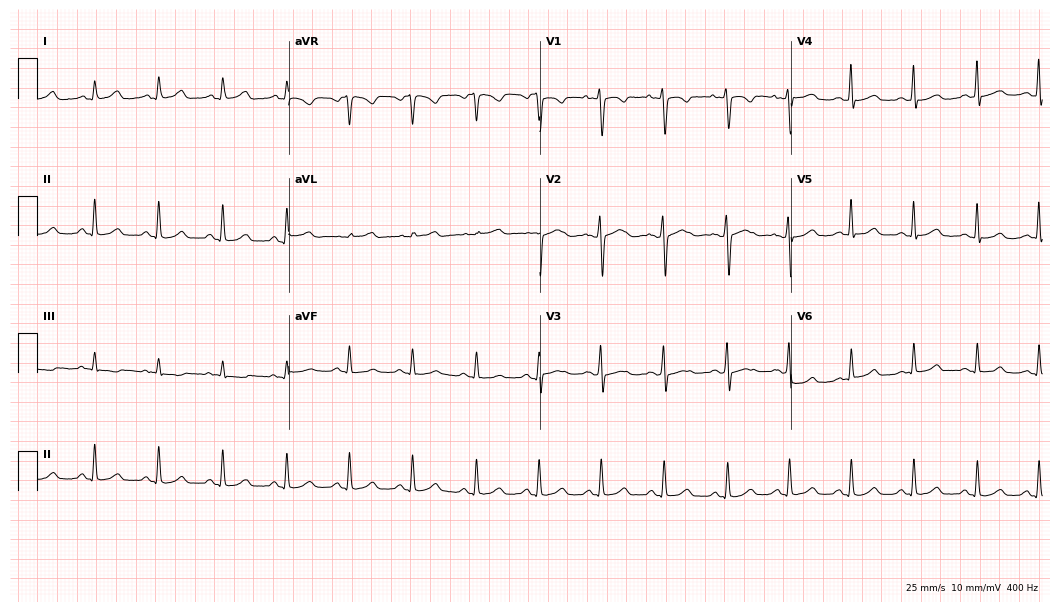
Standard 12-lead ECG recorded from a 63-year-old female. Read as a normal ECG.